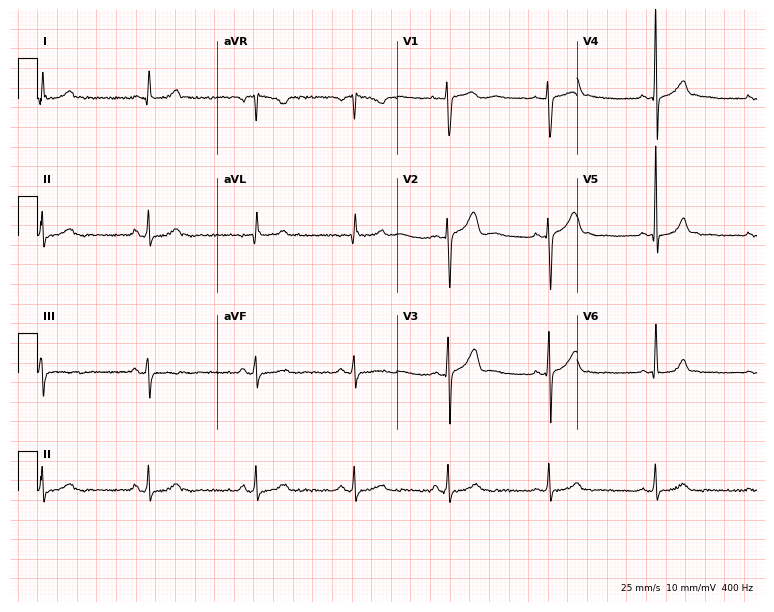
Standard 12-lead ECG recorded from a 32-year-old female patient. None of these six findings is recorded: first-degree AV block, right bundle branch block (RBBB), left bundle branch block (LBBB), sinus bradycardia, atrial fibrillation (AF), sinus tachycardia.